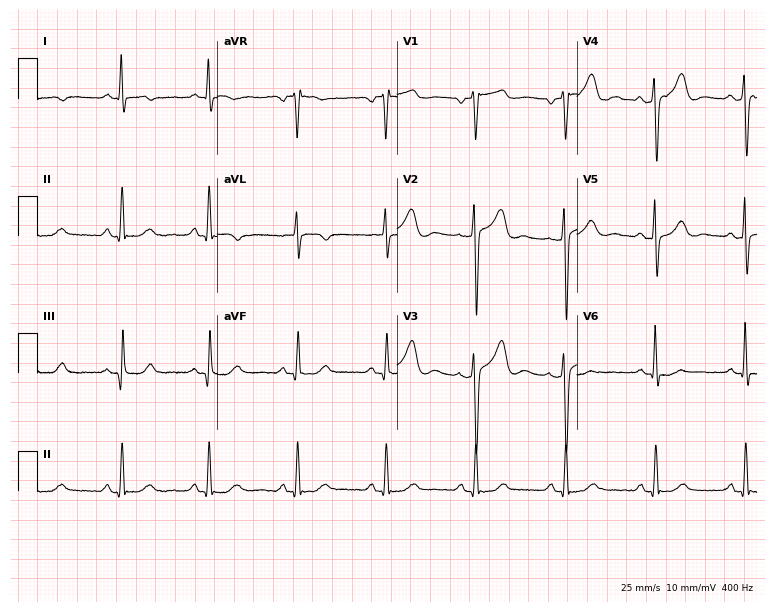
12-lead ECG from a 61-year-old male (7.3-second recording at 400 Hz). No first-degree AV block, right bundle branch block (RBBB), left bundle branch block (LBBB), sinus bradycardia, atrial fibrillation (AF) or sinus tachycardia recorded for this tracing. Findings outside these six are not listed.